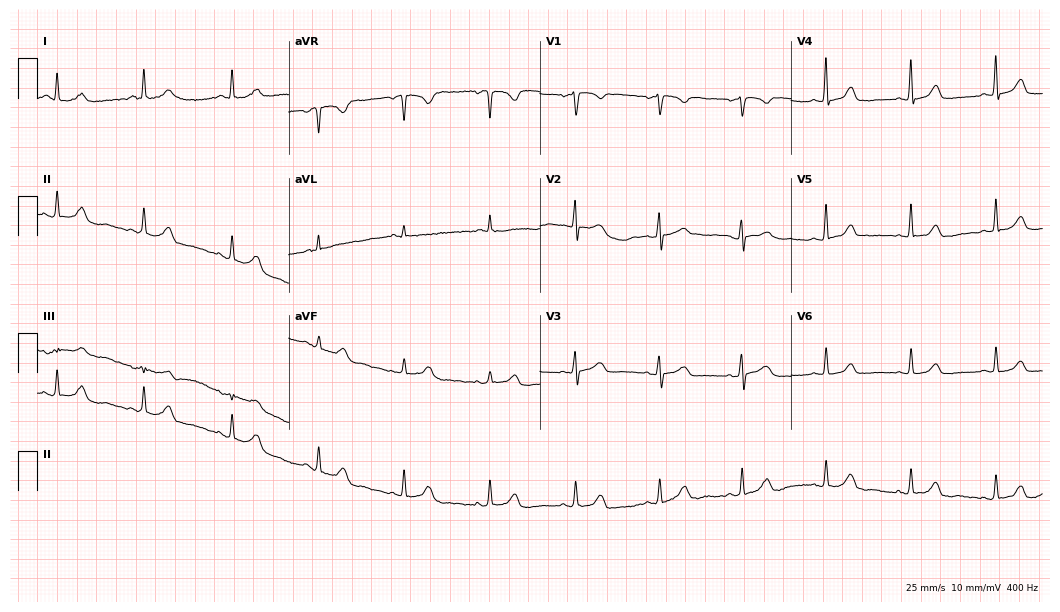
Electrocardiogram (10.2-second recording at 400 Hz), a 63-year-old woman. Overall reading on record: normal ECG.